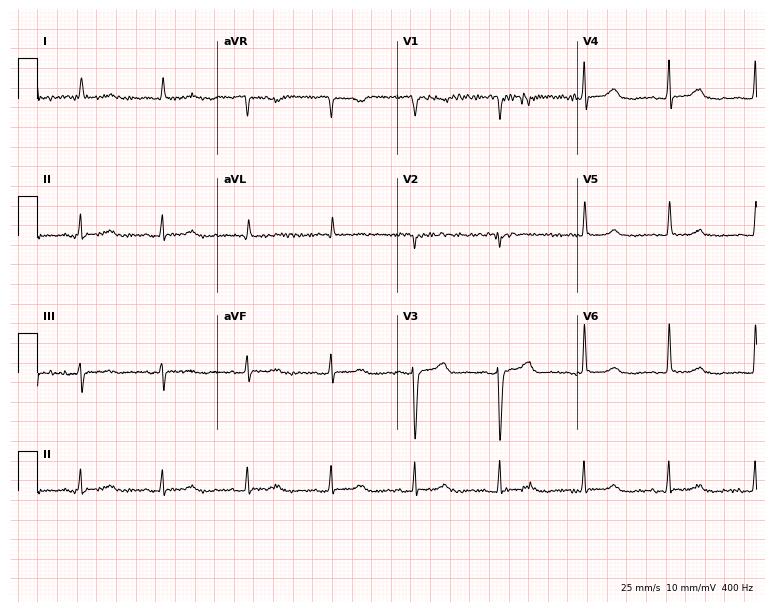
Resting 12-lead electrocardiogram (7.3-second recording at 400 Hz). Patient: a woman, 87 years old. None of these six findings is recorded: first-degree AV block, right bundle branch block (RBBB), left bundle branch block (LBBB), sinus bradycardia, atrial fibrillation (AF), sinus tachycardia. Other findings, if any, are not listed.